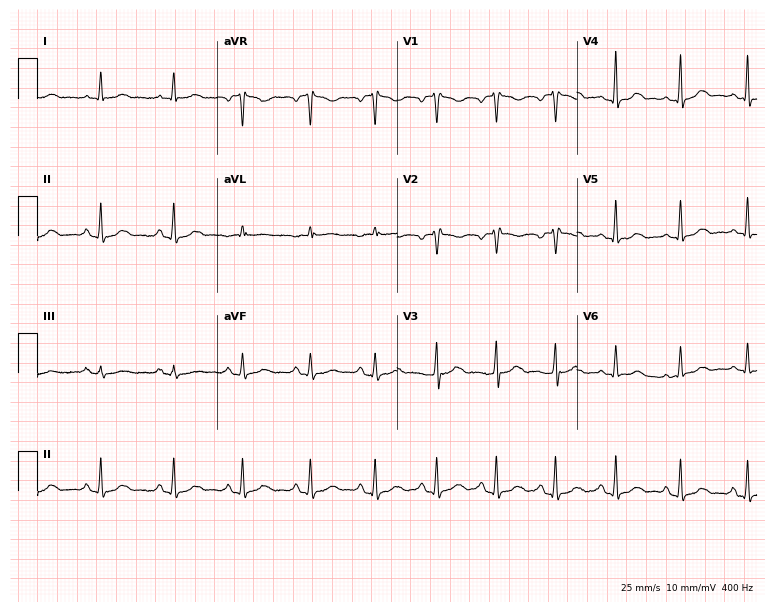
Electrocardiogram (7.3-second recording at 400 Hz), a female, 41 years old. Overall reading on record: normal ECG.